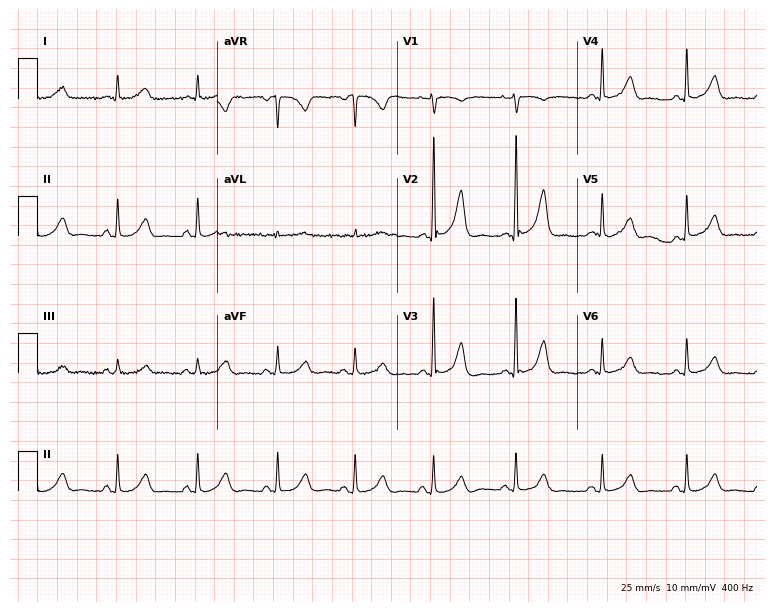
12-lead ECG from a 52-year-old woman. Screened for six findings — first-degree AV block, right bundle branch block, left bundle branch block, sinus bradycardia, atrial fibrillation, sinus tachycardia — none is recorded.